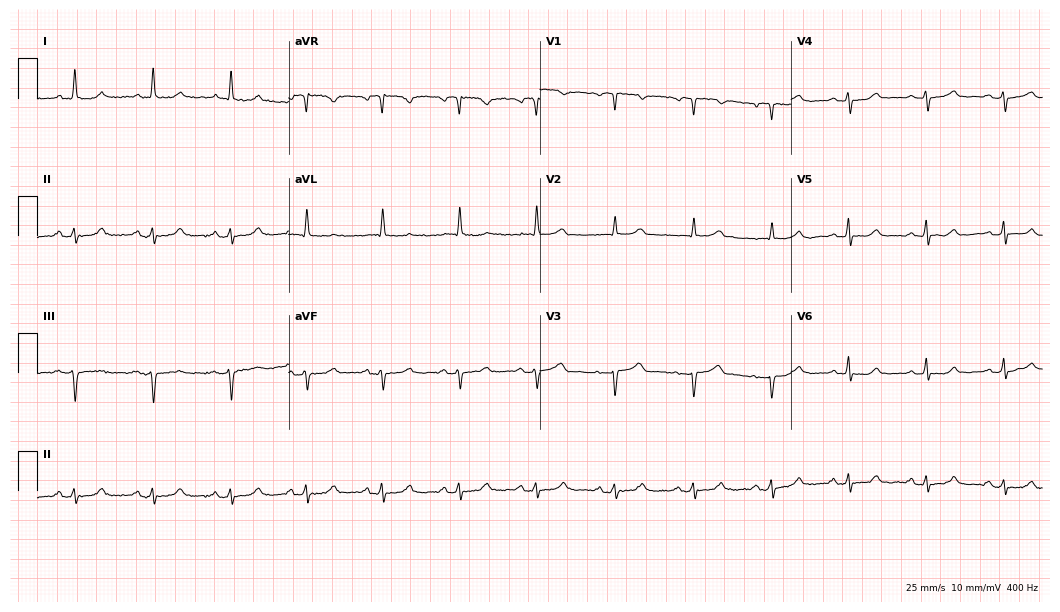
ECG — a 73-year-old female patient. Labelled as a normal ECG.